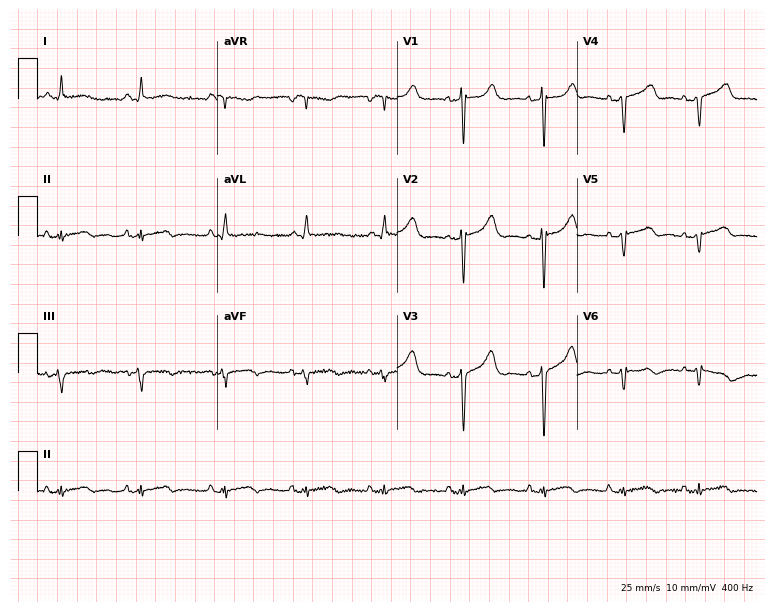
Resting 12-lead electrocardiogram. Patient: a 65-year-old female. None of these six findings is recorded: first-degree AV block, right bundle branch block, left bundle branch block, sinus bradycardia, atrial fibrillation, sinus tachycardia. Other findings, if any, are not listed.